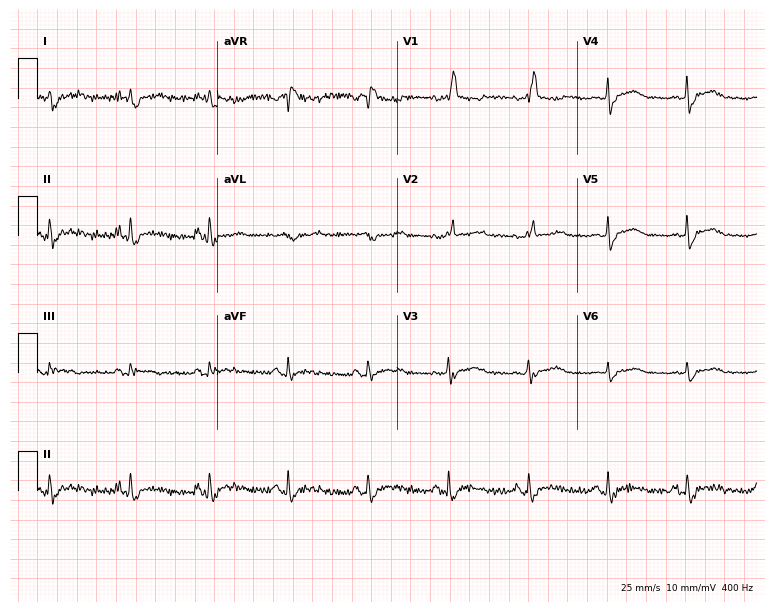
ECG — a female patient, 43 years old. Findings include right bundle branch block (RBBB).